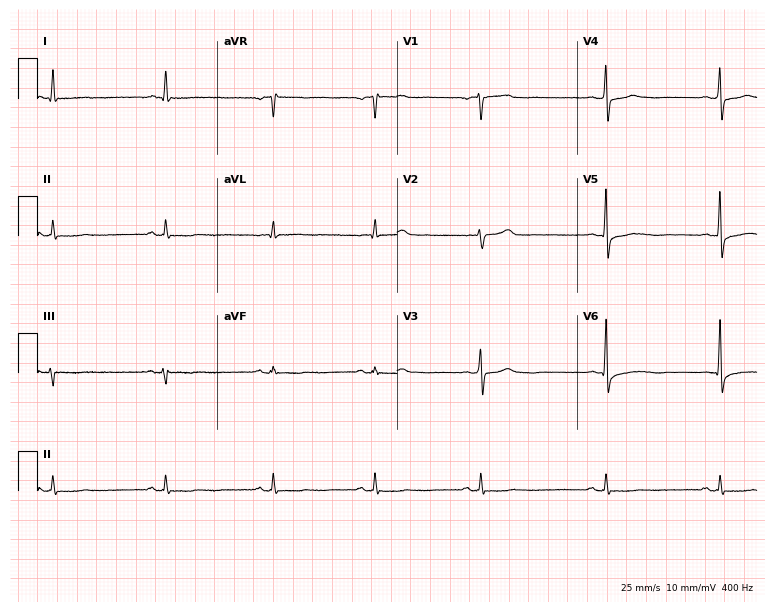
ECG (7.3-second recording at 400 Hz) — a male, 53 years old. Screened for six findings — first-degree AV block, right bundle branch block, left bundle branch block, sinus bradycardia, atrial fibrillation, sinus tachycardia — none is recorded. Only these six findings were labelled.